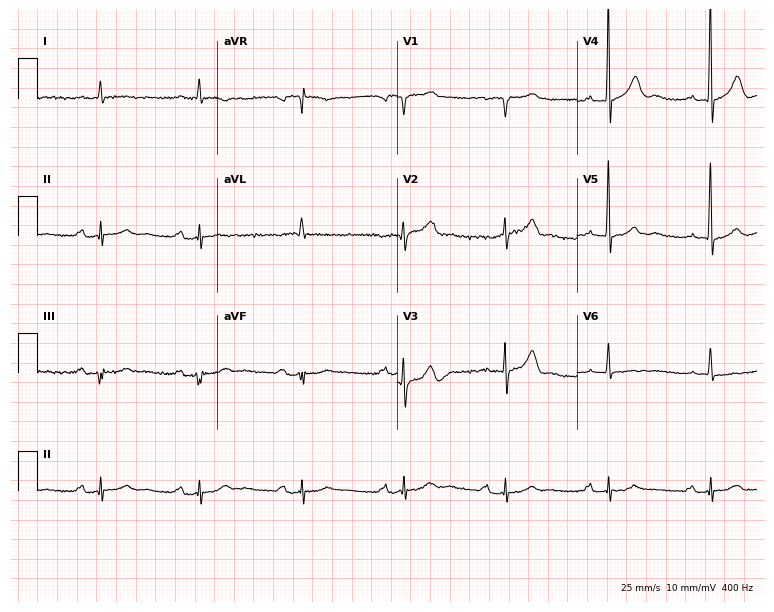
Resting 12-lead electrocardiogram (7.3-second recording at 400 Hz). Patient: an 83-year-old male. The tracing shows first-degree AV block.